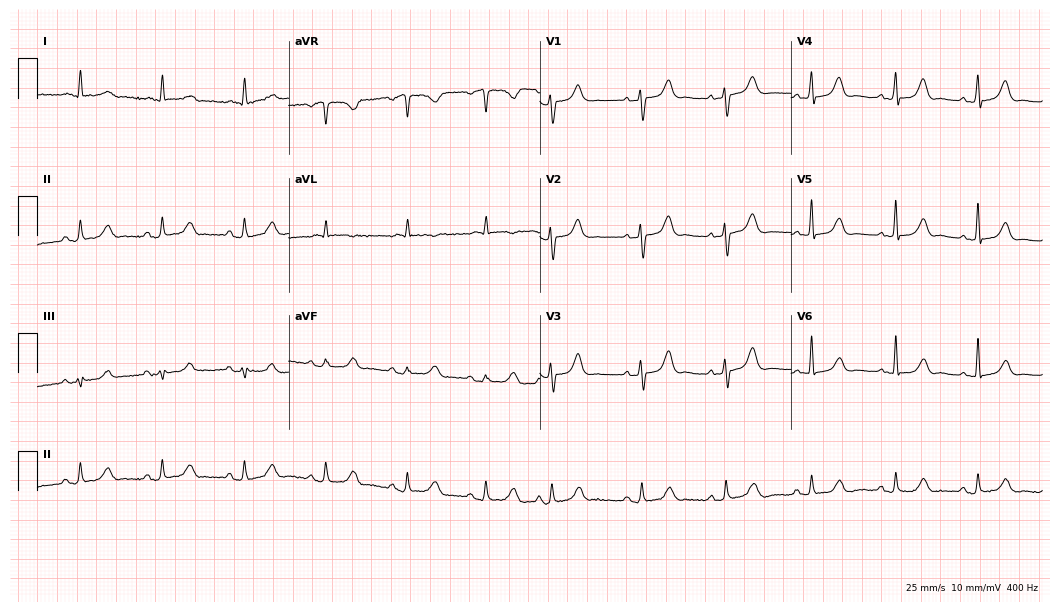
Standard 12-lead ECG recorded from a woman, 83 years old. Read as a normal ECG.